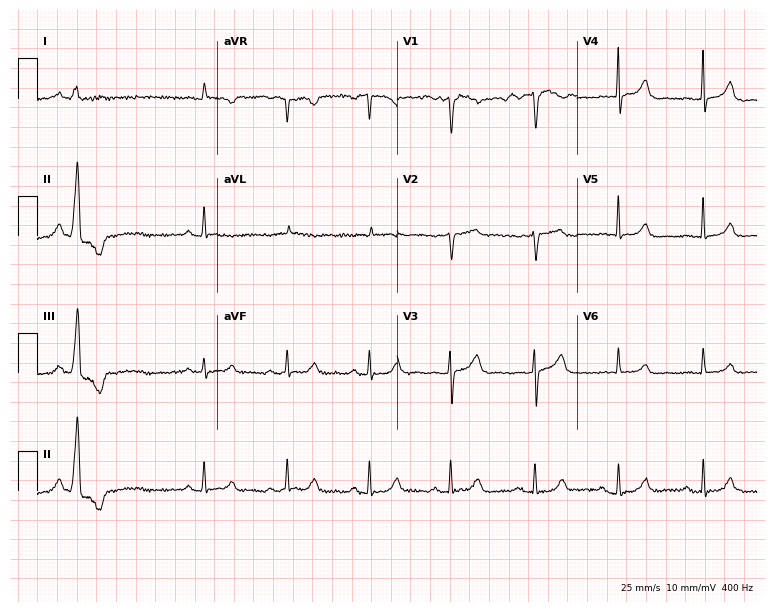
Electrocardiogram, an 80-year-old male patient. Overall reading on record: normal ECG.